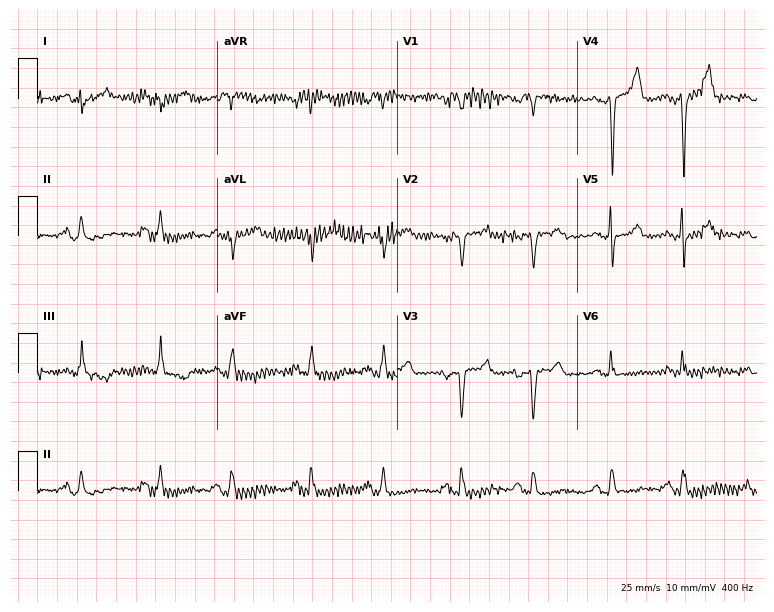
Resting 12-lead electrocardiogram. Patient: a 52-year-old female. None of these six findings is recorded: first-degree AV block, right bundle branch block, left bundle branch block, sinus bradycardia, atrial fibrillation, sinus tachycardia. Findings outside these six are not listed.